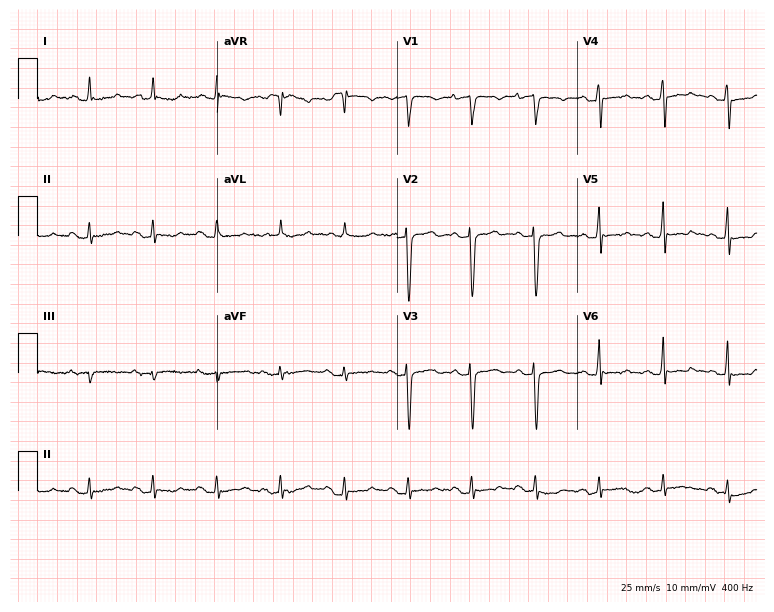
Electrocardiogram (7.3-second recording at 400 Hz), a 70-year-old female. Of the six screened findings (first-degree AV block, right bundle branch block, left bundle branch block, sinus bradycardia, atrial fibrillation, sinus tachycardia), none is recorded. Only these six findings were labelled.